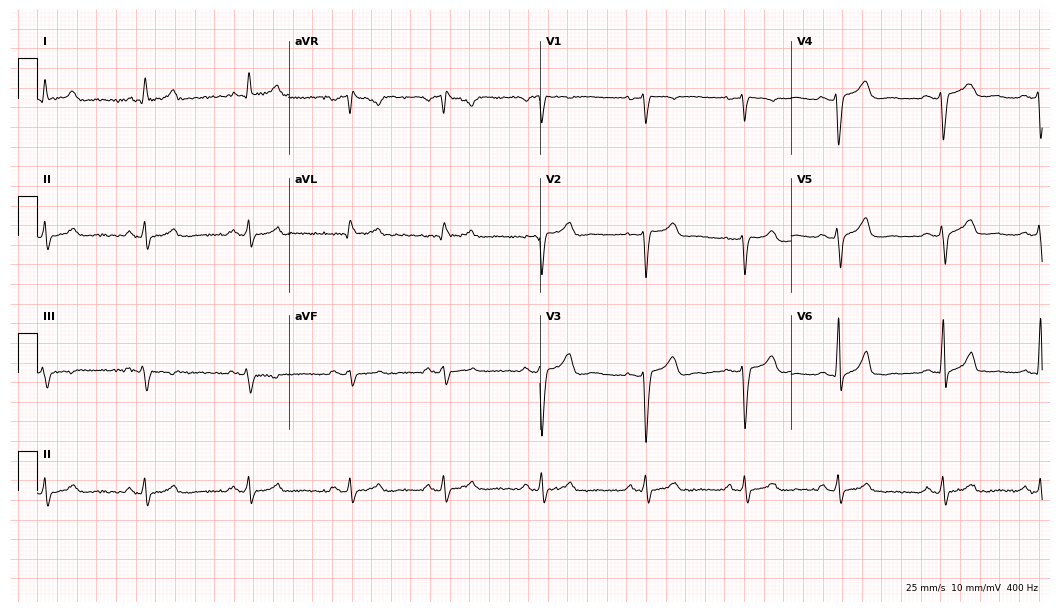
Electrocardiogram (10.2-second recording at 400 Hz), a female patient, 34 years old. Of the six screened findings (first-degree AV block, right bundle branch block (RBBB), left bundle branch block (LBBB), sinus bradycardia, atrial fibrillation (AF), sinus tachycardia), none is recorded. Only these six findings were labelled.